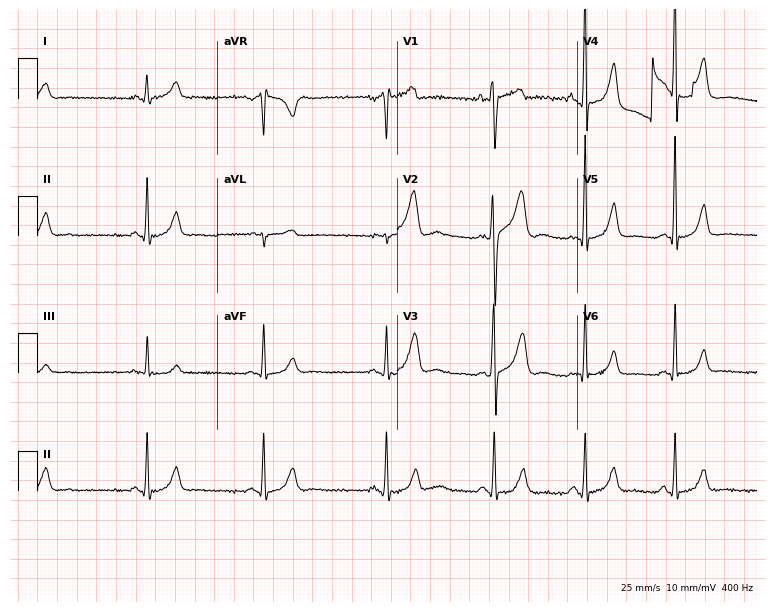
12-lead ECG from a 17-year-old male patient. Labelled as a normal ECG.